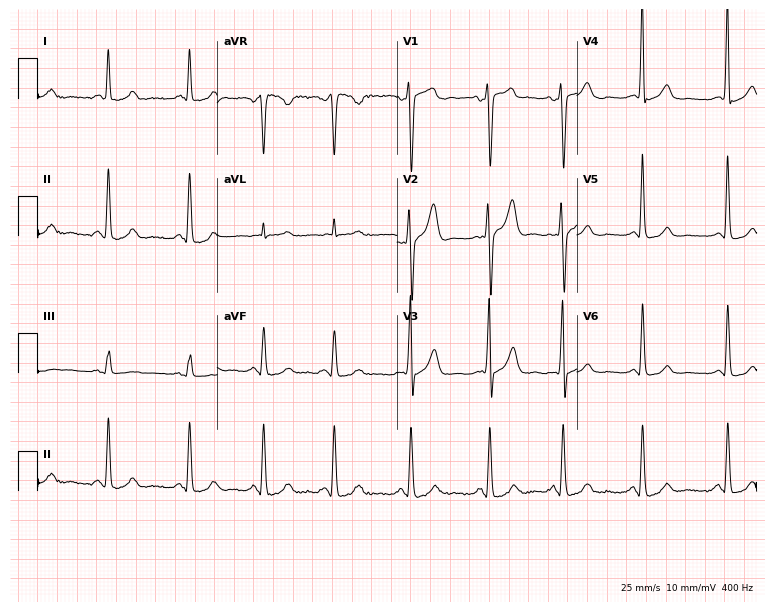
12-lead ECG (7.3-second recording at 400 Hz) from a 24-year-old male patient. Screened for six findings — first-degree AV block, right bundle branch block, left bundle branch block, sinus bradycardia, atrial fibrillation, sinus tachycardia — none is recorded.